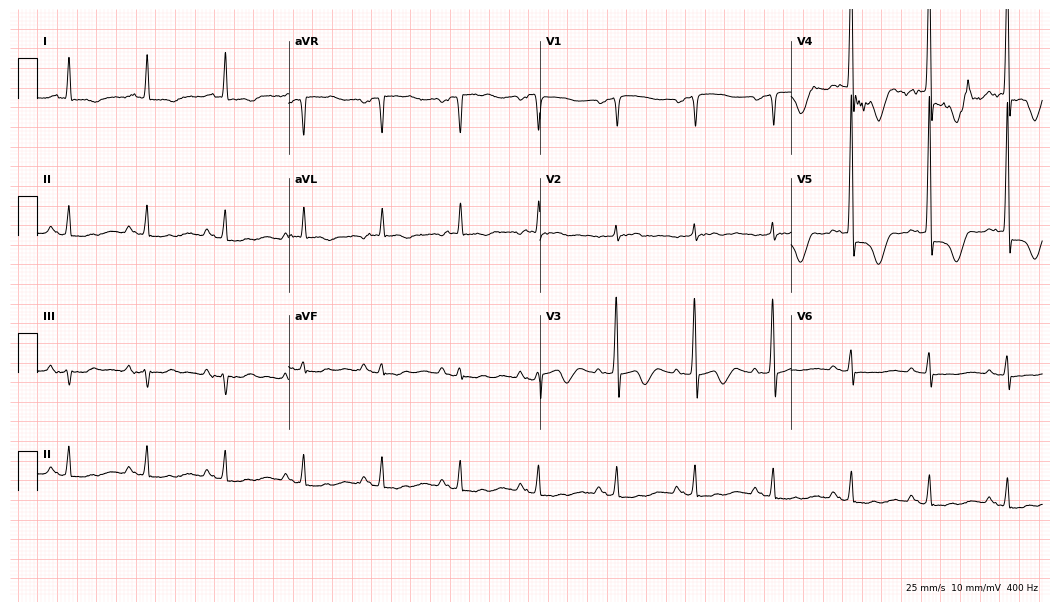
12-lead ECG from a 79-year-old male. No first-degree AV block, right bundle branch block (RBBB), left bundle branch block (LBBB), sinus bradycardia, atrial fibrillation (AF) or sinus tachycardia recorded for this tracing.